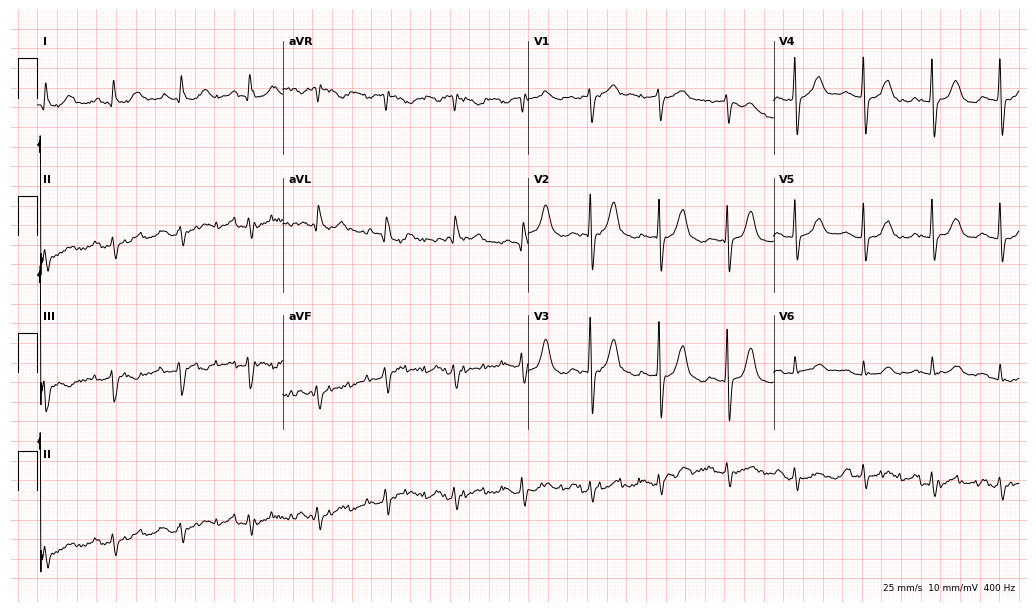
12-lead ECG from a female patient, 83 years old (10-second recording at 400 Hz). No first-degree AV block, right bundle branch block (RBBB), left bundle branch block (LBBB), sinus bradycardia, atrial fibrillation (AF) or sinus tachycardia recorded for this tracing.